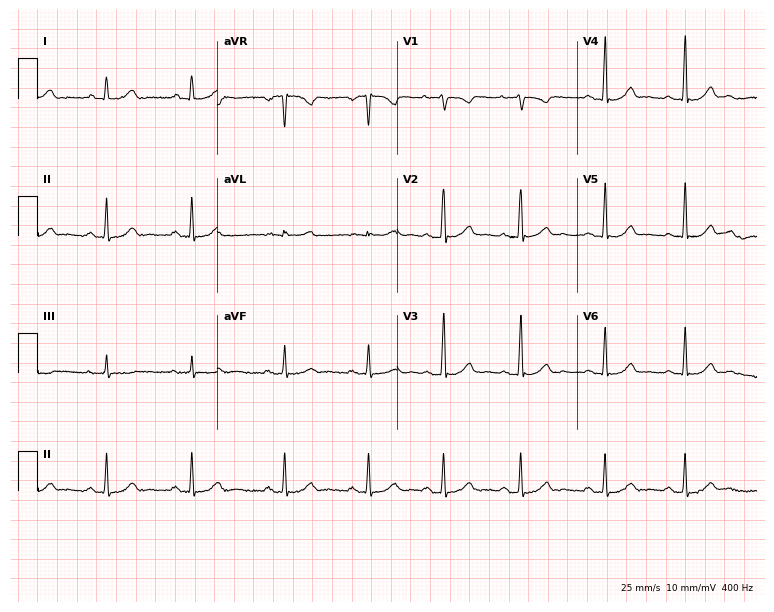
12-lead ECG from a female, 30 years old. Recorded interpretation: within normal limits.